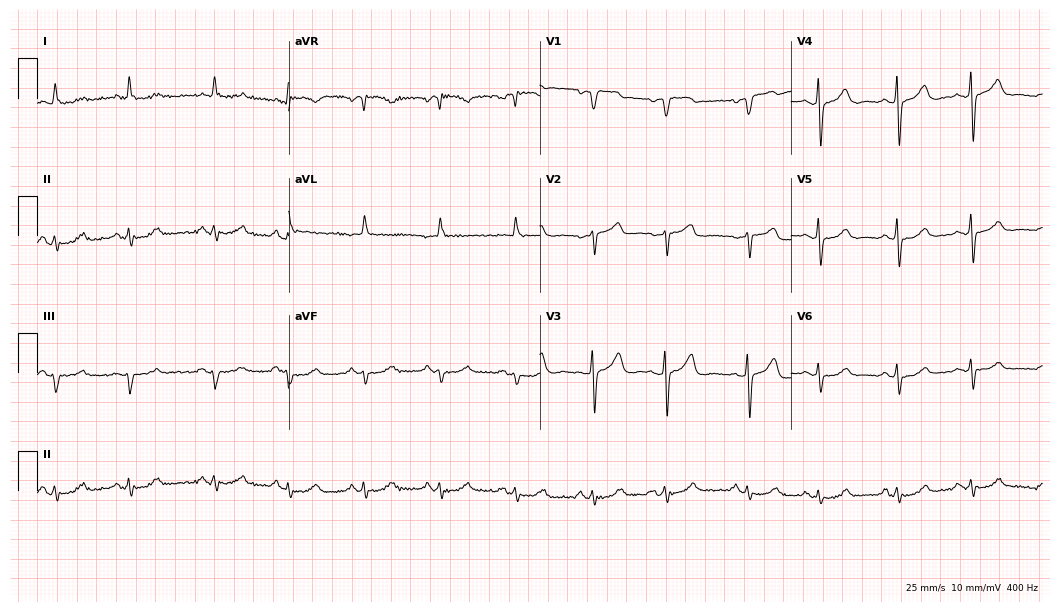
Standard 12-lead ECG recorded from a female patient, 60 years old. None of these six findings is recorded: first-degree AV block, right bundle branch block, left bundle branch block, sinus bradycardia, atrial fibrillation, sinus tachycardia.